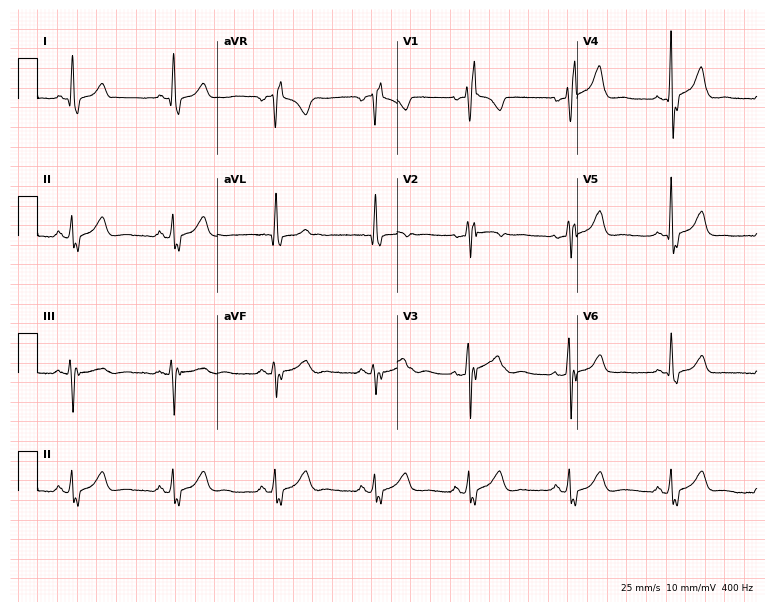
Standard 12-lead ECG recorded from a woman, 66 years old (7.3-second recording at 400 Hz). None of these six findings is recorded: first-degree AV block, right bundle branch block, left bundle branch block, sinus bradycardia, atrial fibrillation, sinus tachycardia. Other findings, if any, are not listed.